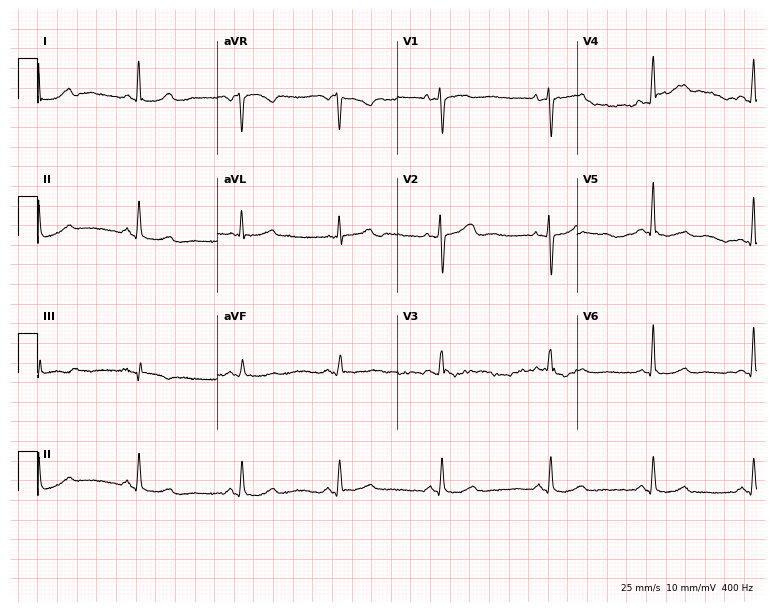
12-lead ECG from a 47-year-old female patient. Recorded interpretation: within normal limits.